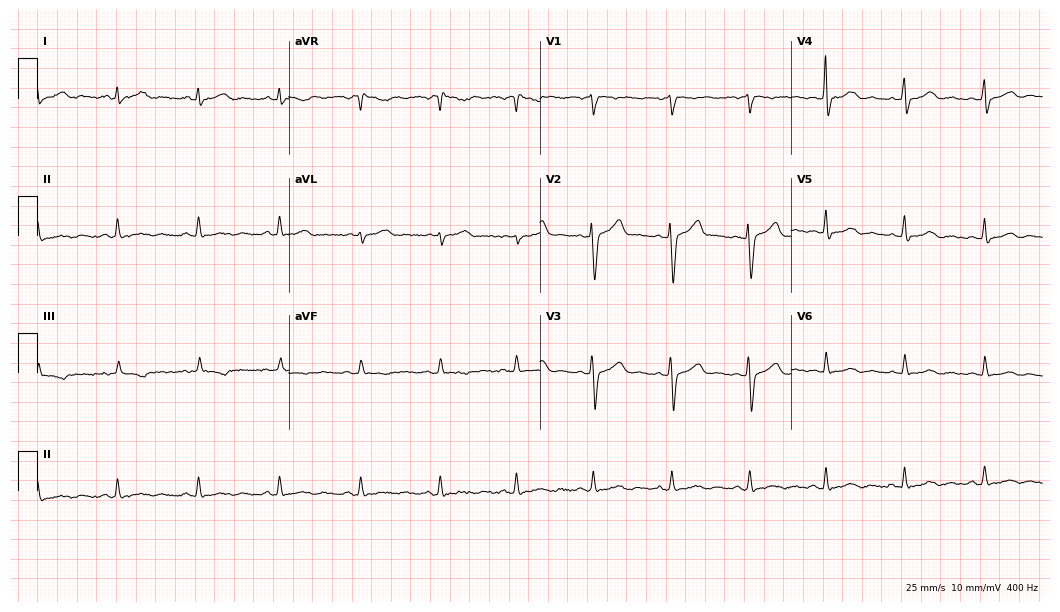
Resting 12-lead electrocardiogram. Patient: a 36-year-old female. None of these six findings is recorded: first-degree AV block, right bundle branch block, left bundle branch block, sinus bradycardia, atrial fibrillation, sinus tachycardia.